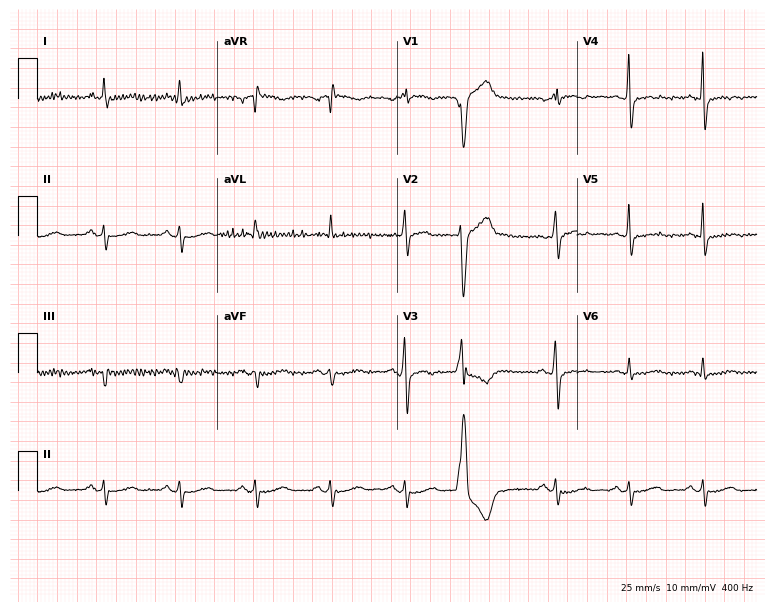
ECG — a 64-year-old woman. Screened for six findings — first-degree AV block, right bundle branch block (RBBB), left bundle branch block (LBBB), sinus bradycardia, atrial fibrillation (AF), sinus tachycardia — none is recorded.